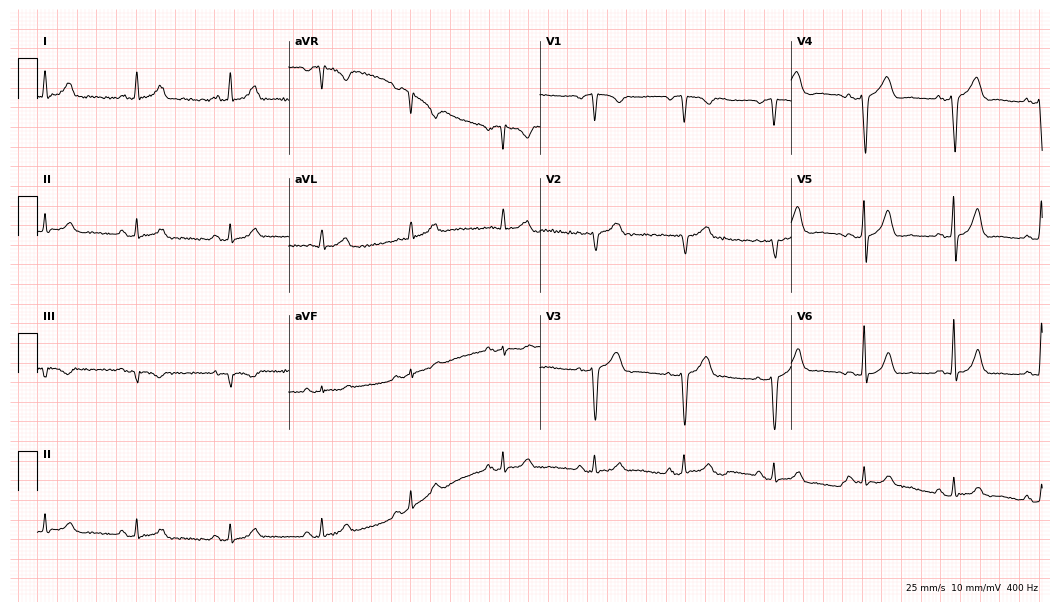
Resting 12-lead electrocardiogram (10.2-second recording at 400 Hz). Patient: a 57-year-old male. Read as a normal ECG.